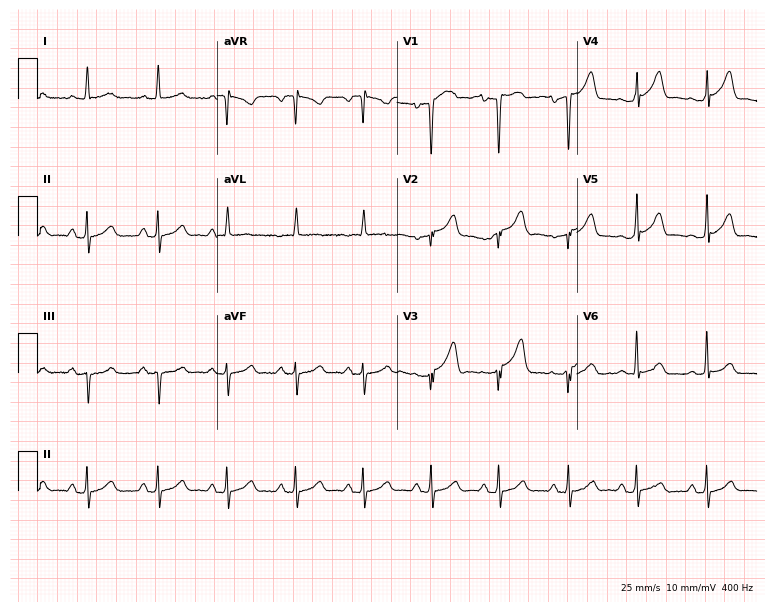
Electrocardiogram (7.3-second recording at 400 Hz), a 78-year-old male. Of the six screened findings (first-degree AV block, right bundle branch block, left bundle branch block, sinus bradycardia, atrial fibrillation, sinus tachycardia), none is recorded.